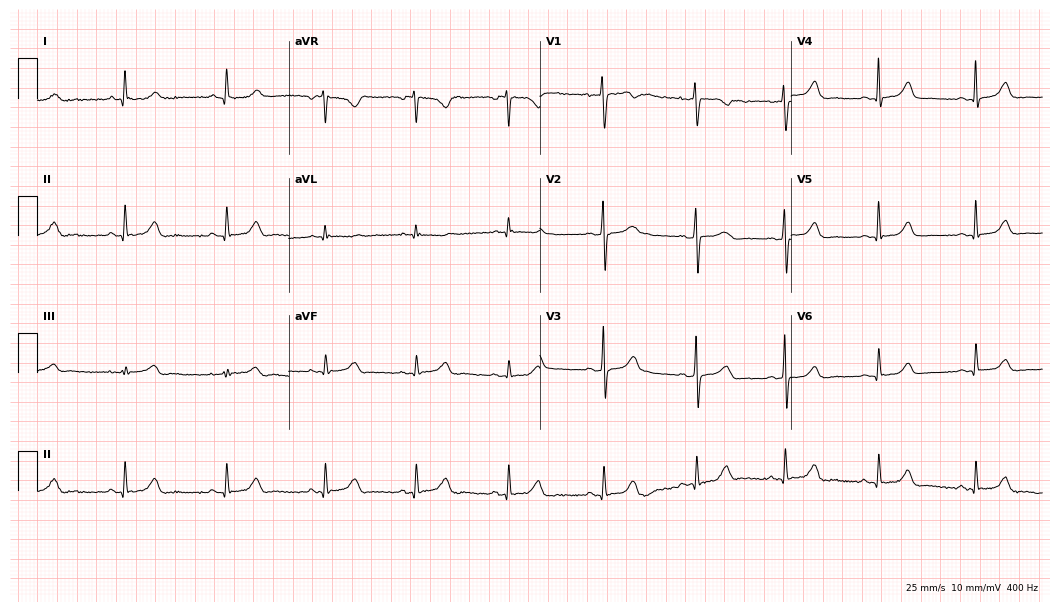
12-lead ECG (10.2-second recording at 400 Hz) from a female patient, 37 years old. Labelled as a normal ECG.